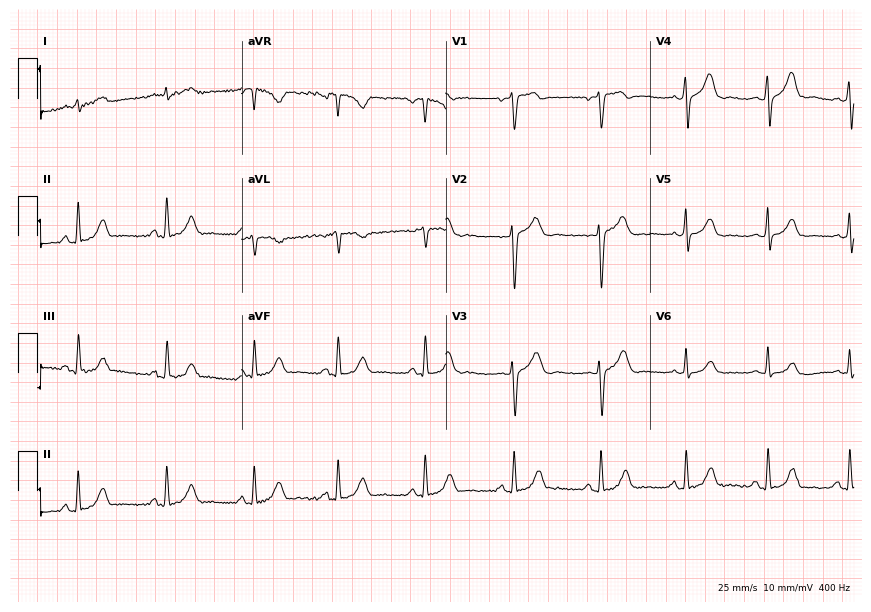
12-lead ECG (8.3-second recording at 400 Hz) from a 46-year-old male patient. Labelled as a normal ECG.